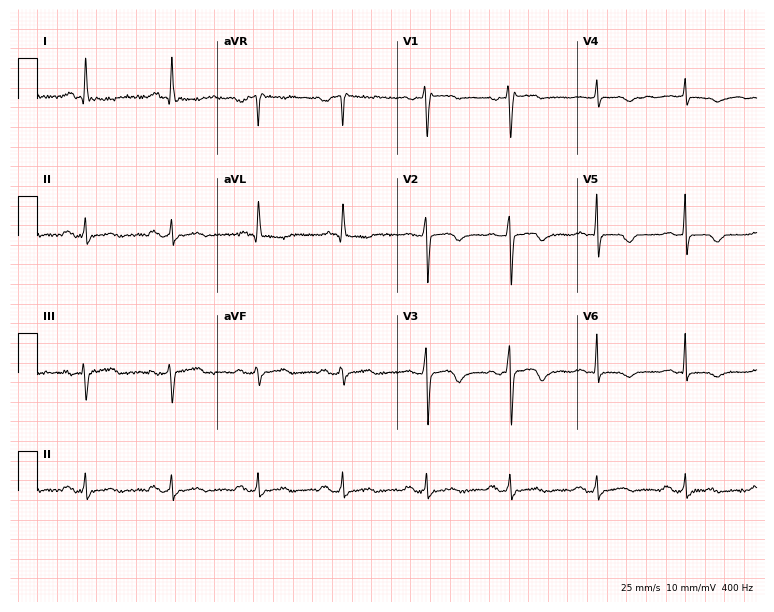
Resting 12-lead electrocardiogram (7.3-second recording at 400 Hz). Patient: a 56-year-old woman. None of these six findings is recorded: first-degree AV block, right bundle branch block, left bundle branch block, sinus bradycardia, atrial fibrillation, sinus tachycardia. Only these six findings were labelled.